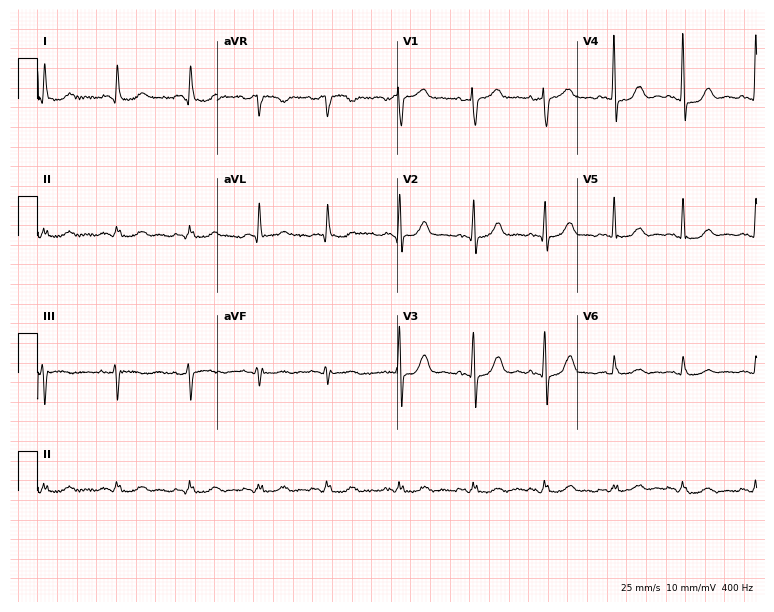
12-lead ECG (7.3-second recording at 400 Hz) from a female patient, 67 years old. Labelled as a normal ECG.